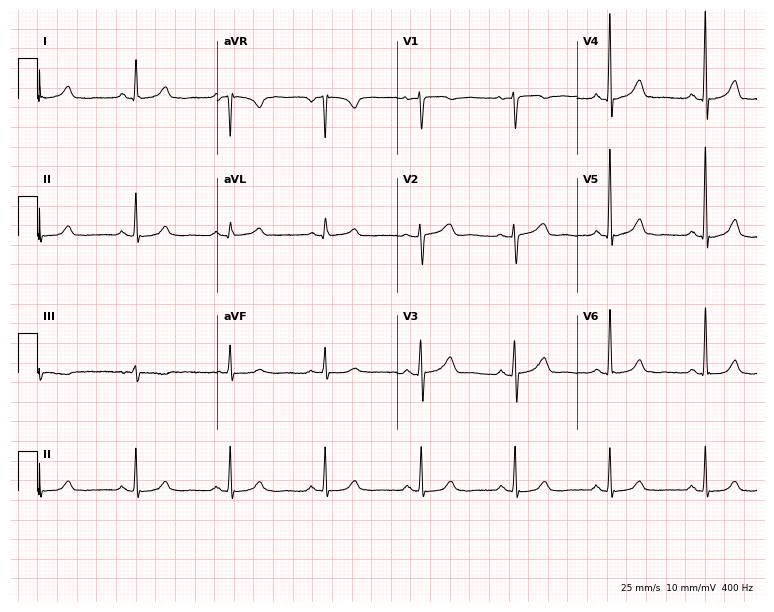
Resting 12-lead electrocardiogram (7.3-second recording at 400 Hz). Patient: a 61-year-old female. Read as a normal ECG.